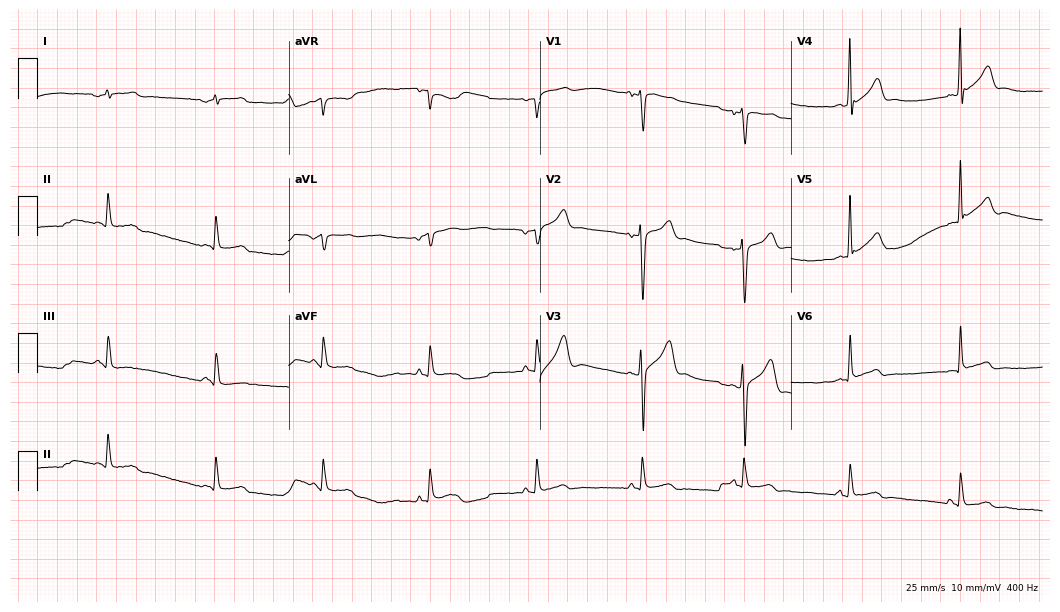
Electrocardiogram, a male, 24 years old. Of the six screened findings (first-degree AV block, right bundle branch block, left bundle branch block, sinus bradycardia, atrial fibrillation, sinus tachycardia), none is recorded.